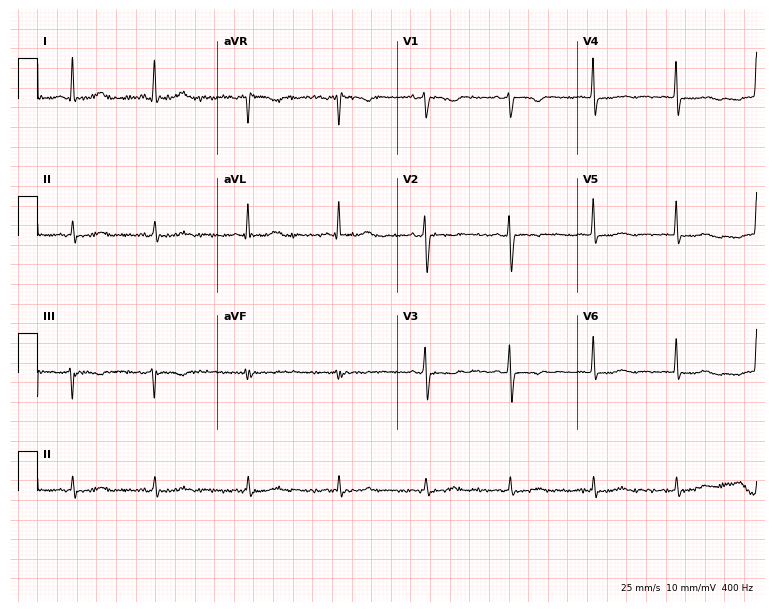
12-lead ECG (7.3-second recording at 400 Hz) from a 72-year-old woman. Screened for six findings — first-degree AV block, right bundle branch block, left bundle branch block, sinus bradycardia, atrial fibrillation, sinus tachycardia — none is recorded. Other findings, if any, are not listed.